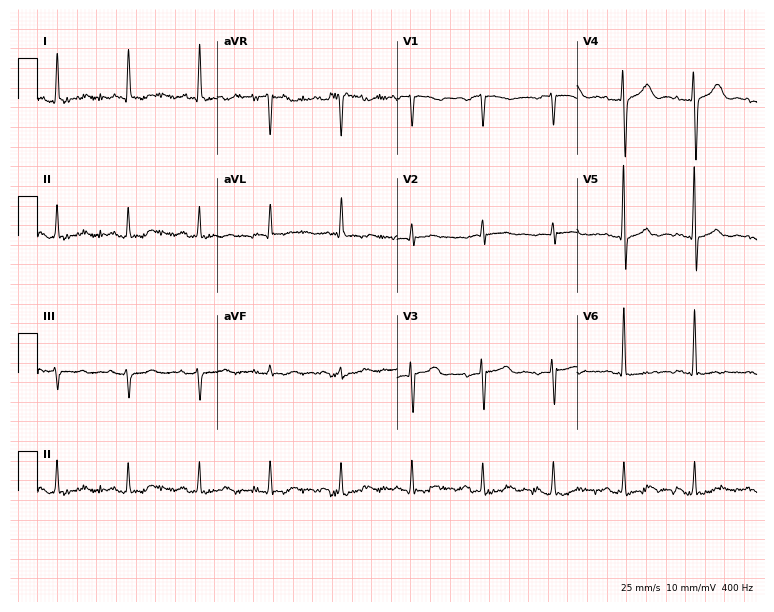
12-lead ECG from a female, 82 years old (7.3-second recording at 400 Hz). No first-degree AV block, right bundle branch block, left bundle branch block, sinus bradycardia, atrial fibrillation or sinus tachycardia recorded for this tracing. Findings outside these six are not listed.